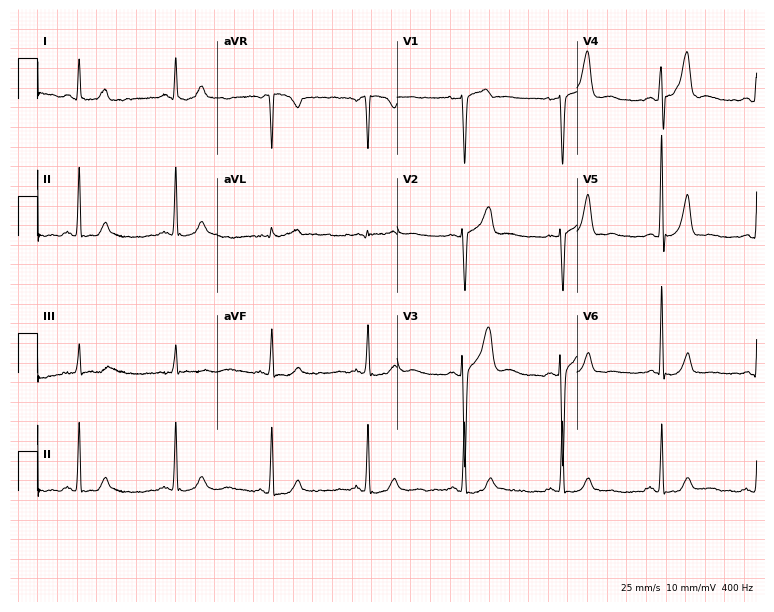
Resting 12-lead electrocardiogram (7.3-second recording at 400 Hz). Patient: a 58-year-old male. None of these six findings is recorded: first-degree AV block, right bundle branch block, left bundle branch block, sinus bradycardia, atrial fibrillation, sinus tachycardia.